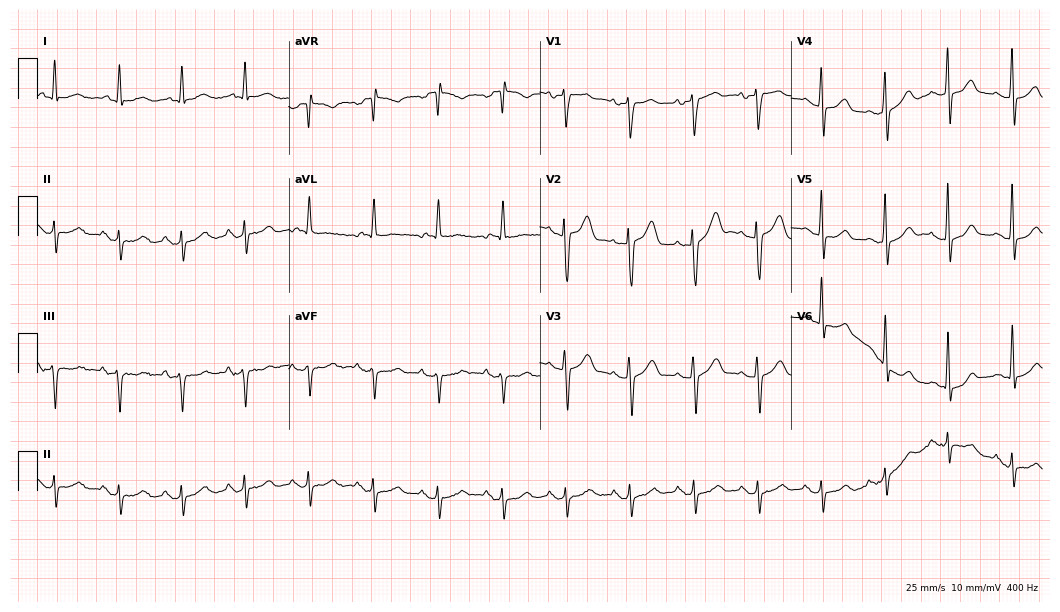
Electrocardiogram (10.2-second recording at 400 Hz), a man, 84 years old. Overall reading on record: normal ECG.